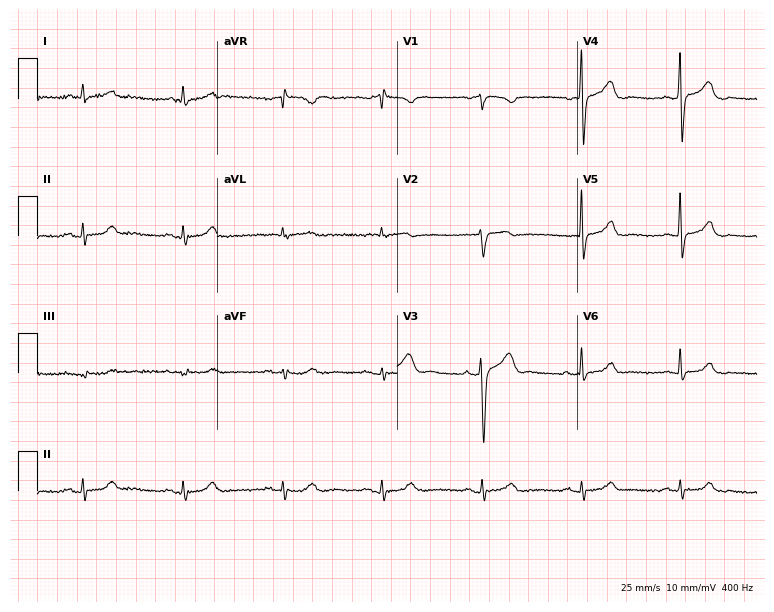
Resting 12-lead electrocardiogram (7.3-second recording at 400 Hz). Patient: a 73-year-old male. Read as a normal ECG.